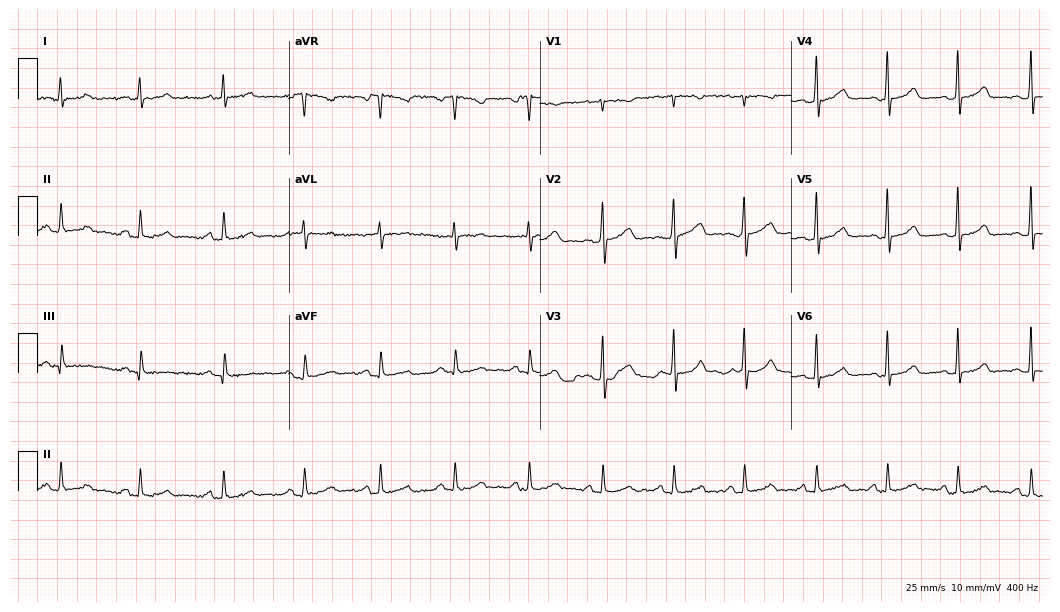
Standard 12-lead ECG recorded from a 28-year-old woman (10.2-second recording at 400 Hz). Read as a normal ECG.